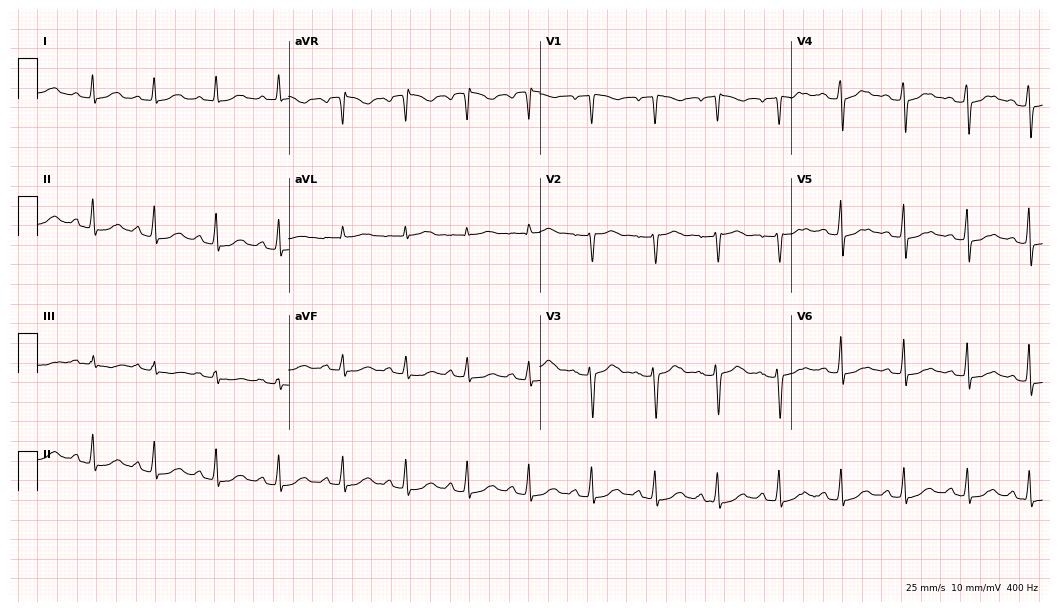
Resting 12-lead electrocardiogram (10.2-second recording at 400 Hz). Patient: a female, 53 years old. None of these six findings is recorded: first-degree AV block, right bundle branch block, left bundle branch block, sinus bradycardia, atrial fibrillation, sinus tachycardia.